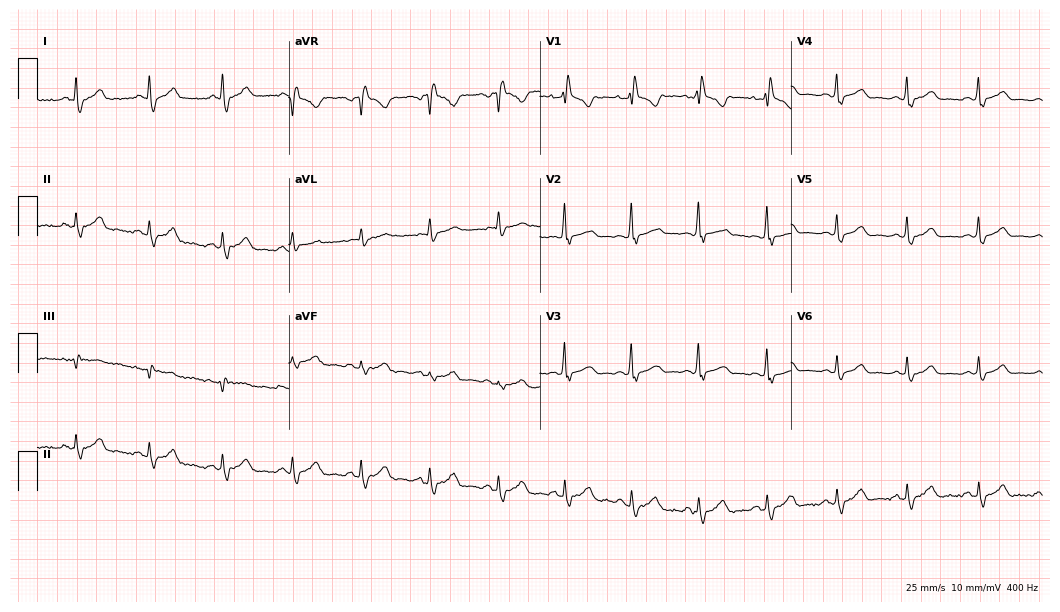
12-lead ECG (10.2-second recording at 400 Hz) from a 41-year-old female. Screened for six findings — first-degree AV block, right bundle branch block (RBBB), left bundle branch block (LBBB), sinus bradycardia, atrial fibrillation (AF), sinus tachycardia — none is recorded. Only these six findings were labelled.